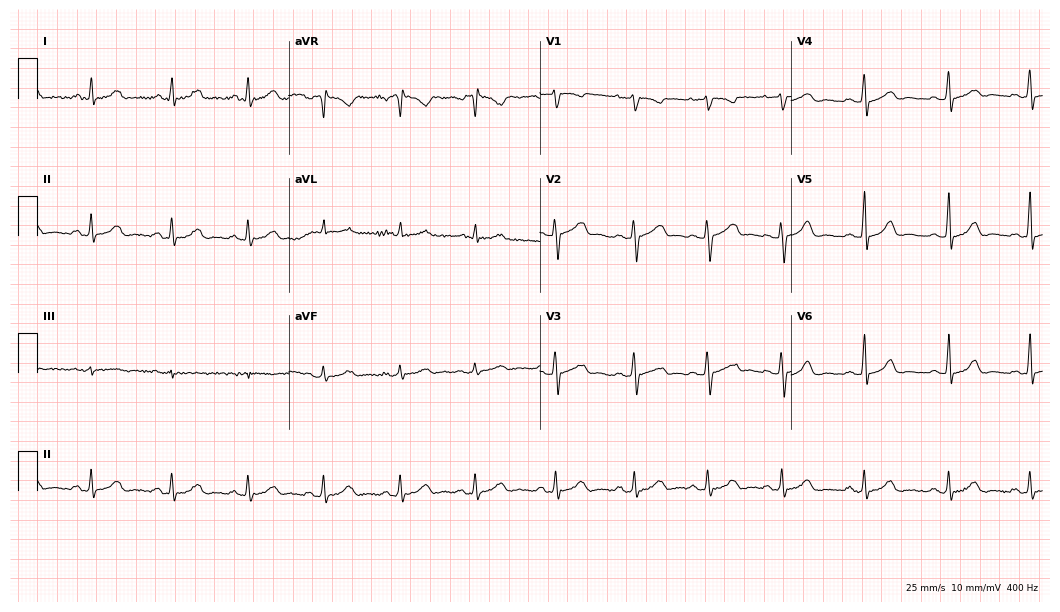
12-lead ECG from a 28-year-old female patient. Recorded interpretation: within normal limits.